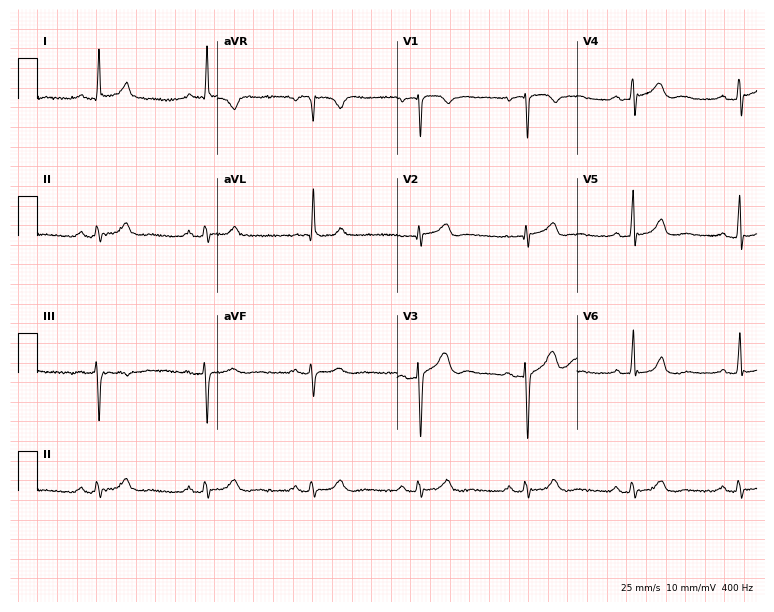
Electrocardiogram (7.3-second recording at 400 Hz), a male patient, 62 years old. Overall reading on record: normal ECG.